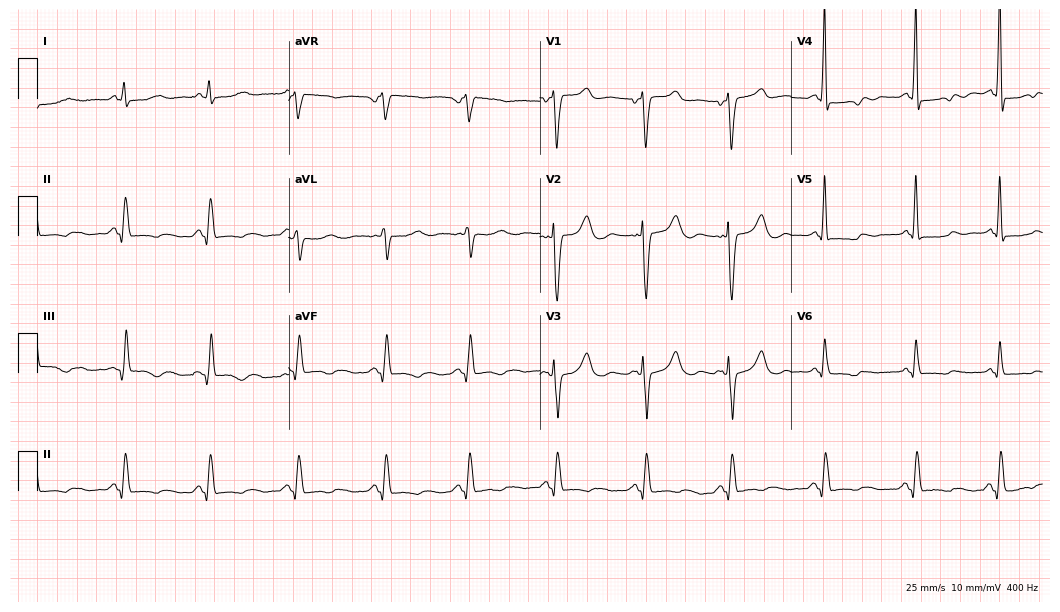
Resting 12-lead electrocardiogram. Patient: a 51-year-old female. None of these six findings is recorded: first-degree AV block, right bundle branch block, left bundle branch block, sinus bradycardia, atrial fibrillation, sinus tachycardia. Only these six findings were labelled.